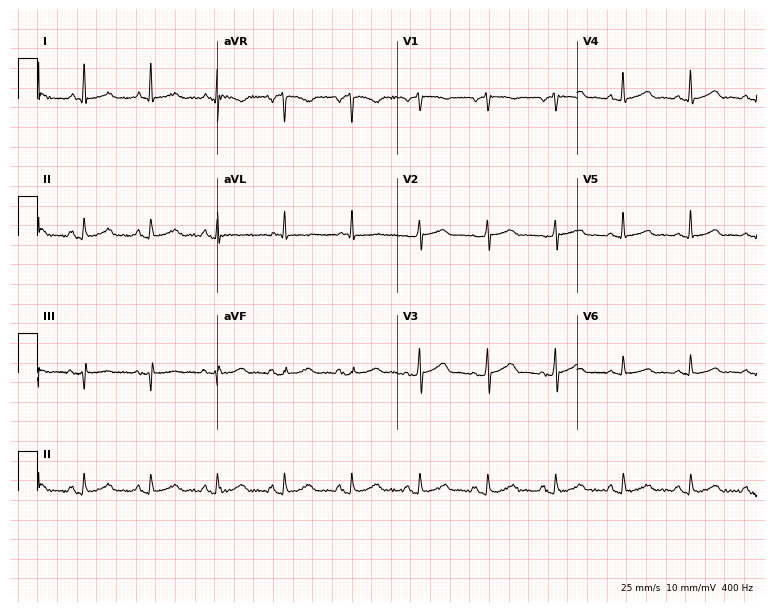
Standard 12-lead ECG recorded from a female patient, 67 years old (7.3-second recording at 400 Hz). Read as a normal ECG.